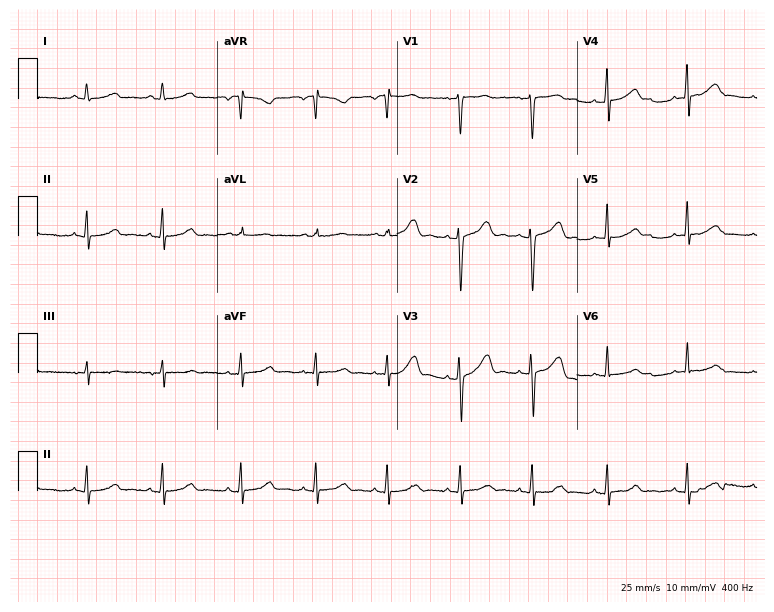
Electrocardiogram, a woman, 21 years old. Overall reading on record: normal ECG.